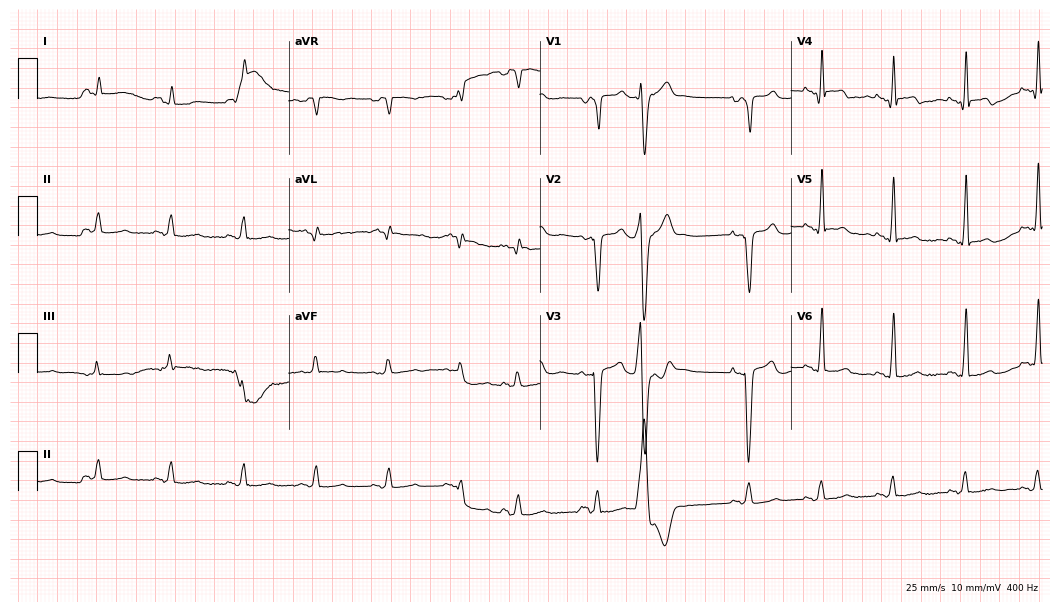
Electrocardiogram (10.2-second recording at 400 Hz), a male, 84 years old. Of the six screened findings (first-degree AV block, right bundle branch block (RBBB), left bundle branch block (LBBB), sinus bradycardia, atrial fibrillation (AF), sinus tachycardia), none is recorded.